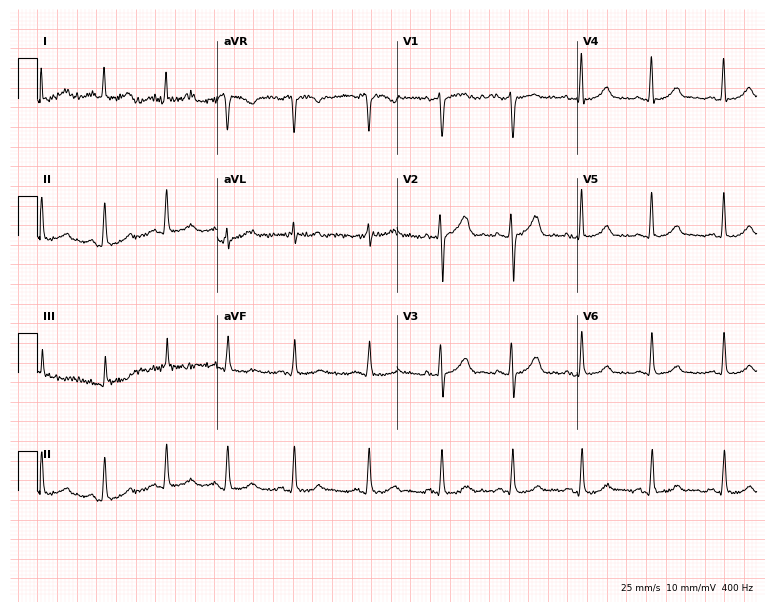
Electrocardiogram (7.3-second recording at 400 Hz), a 23-year-old male patient. Overall reading on record: normal ECG.